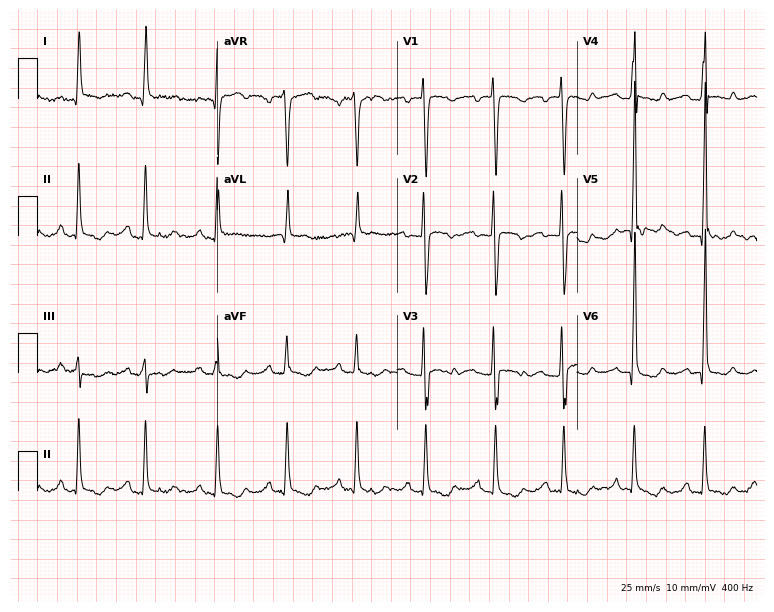
Resting 12-lead electrocardiogram. Patient: a female, 62 years old. None of these six findings is recorded: first-degree AV block, right bundle branch block, left bundle branch block, sinus bradycardia, atrial fibrillation, sinus tachycardia. Only these six findings were labelled.